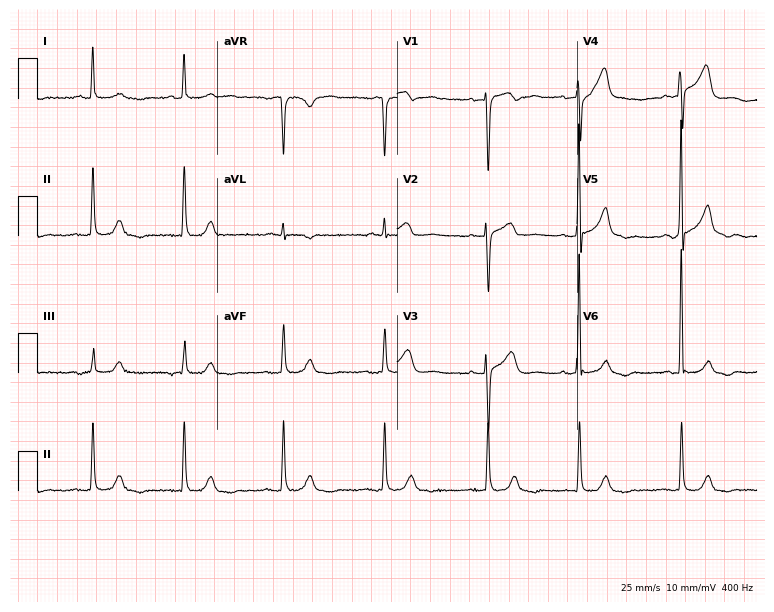
Standard 12-lead ECG recorded from a female, 68 years old (7.3-second recording at 400 Hz). None of these six findings is recorded: first-degree AV block, right bundle branch block, left bundle branch block, sinus bradycardia, atrial fibrillation, sinus tachycardia.